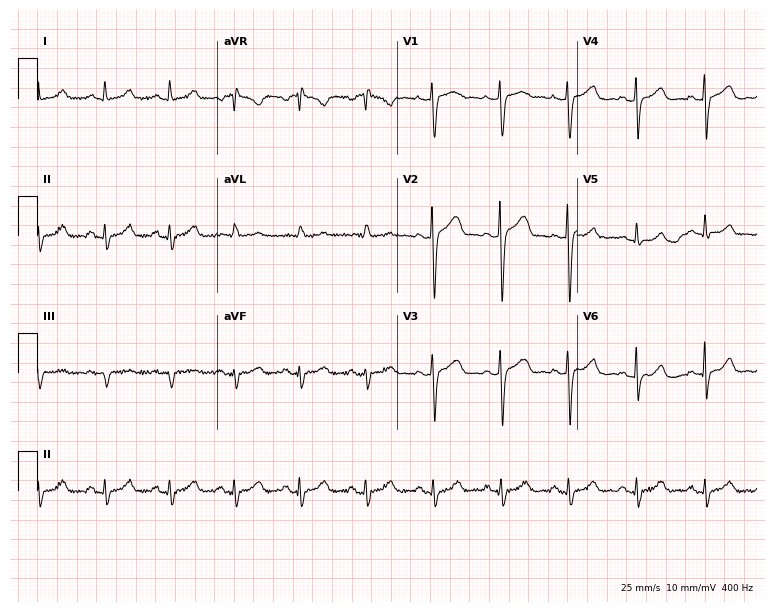
12-lead ECG from a 56-year-old female. No first-degree AV block, right bundle branch block, left bundle branch block, sinus bradycardia, atrial fibrillation or sinus tachycardia recorded for this tracing.